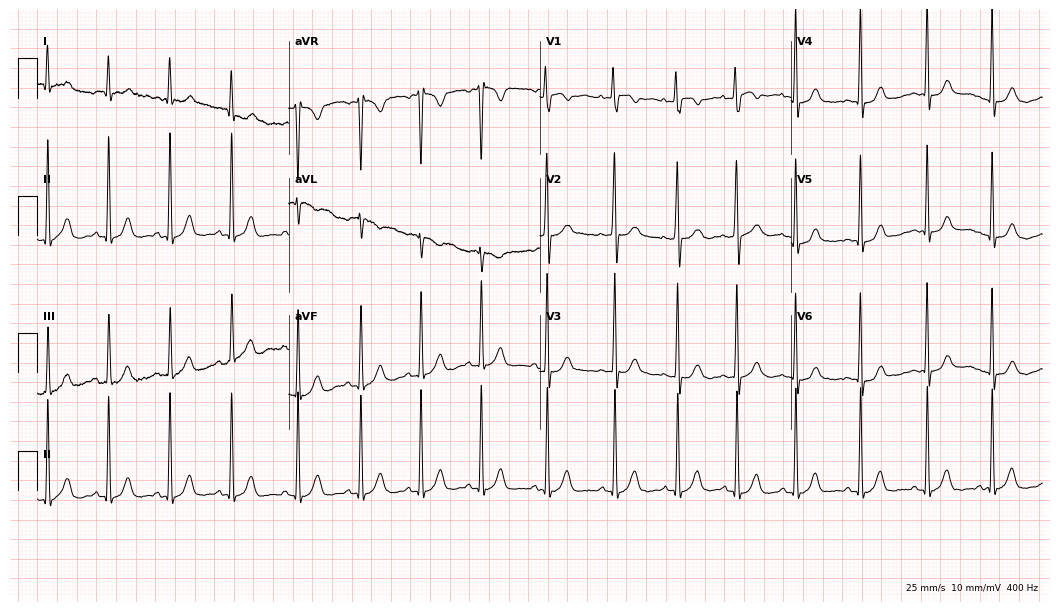
12-lead ECG from a 17-year-old woman (10.2-second recording at 400 Hz). Recorded interpretation: within normal limits.